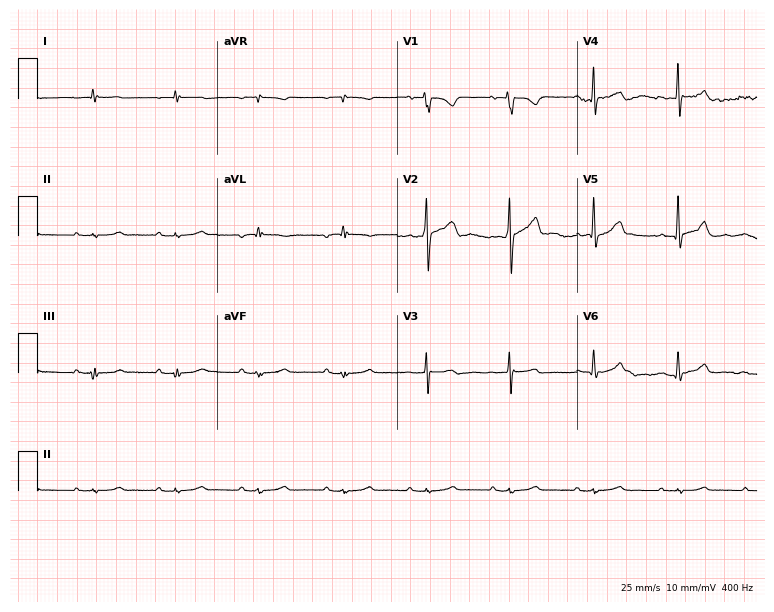
12-lead ECG from a 60-year-old man (7.3-second recording at 400 Hz). No first-degree AV block, right bundle branch block (RBBB), left bundle branch block (LBBB), sinus bradycardia, atrial fibrillation (AF) or sinus tachycardia recorded for this tracing. Other findings, if any, are not listed.